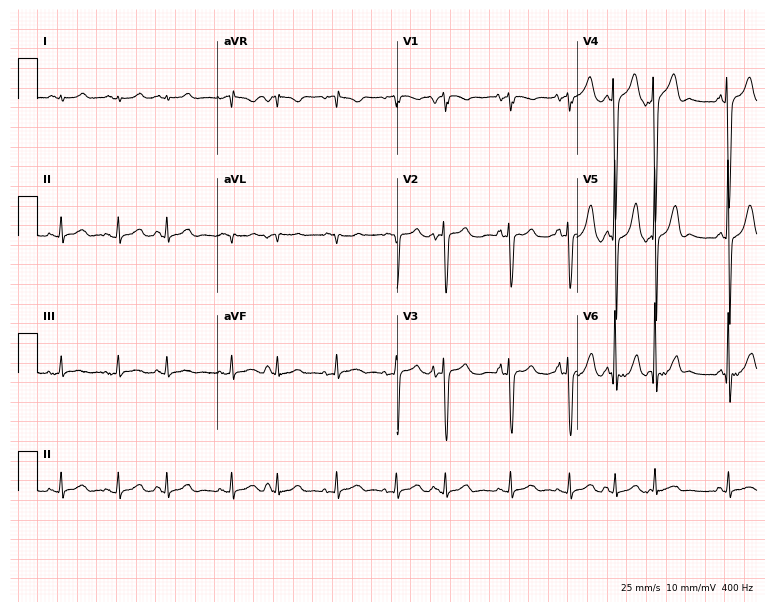
Electrocardiogram (7.3-second recording at 400 Hz), an 83-year-old man. Of the six screened findings (first-degree AV block, right bundle branch block, left bundle branch block, sinus bradycardia, atrial fibrillation, sinus tachycardia), none is recorded. Other findings, if any, are not listed.